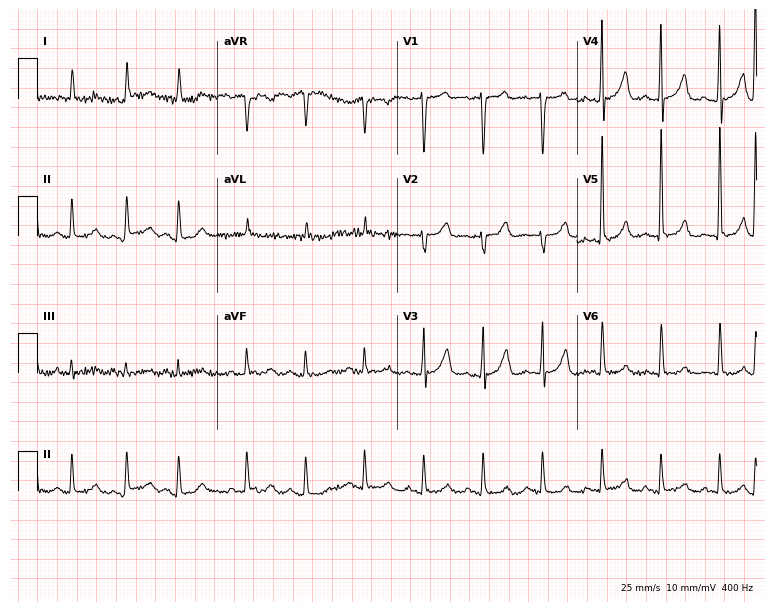
12-lead ECG (7.3-second recording at 400 Hz) from a 78-year-old woman. Screened for six findings — first-degree AV block, right bundle branch block, left bundle branch block, sinus bradycardia, atrial fibrillation, sinus tachycardia — none is recorded. Only these six findings were labelled.